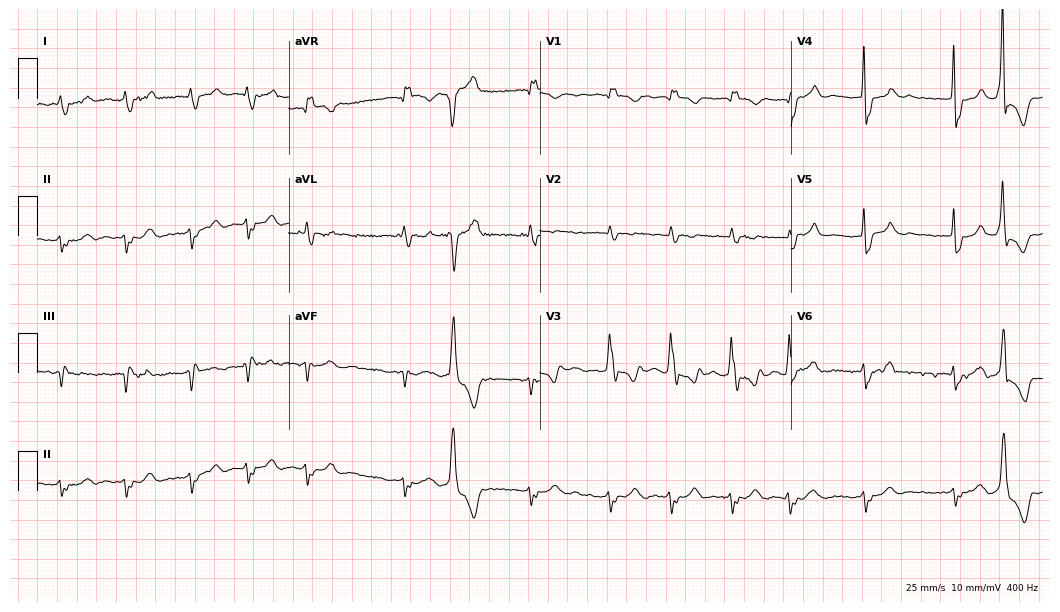
12-lead ECG from an 81-year-old man. Findings include right bundle branch block, atrial fibrillation.